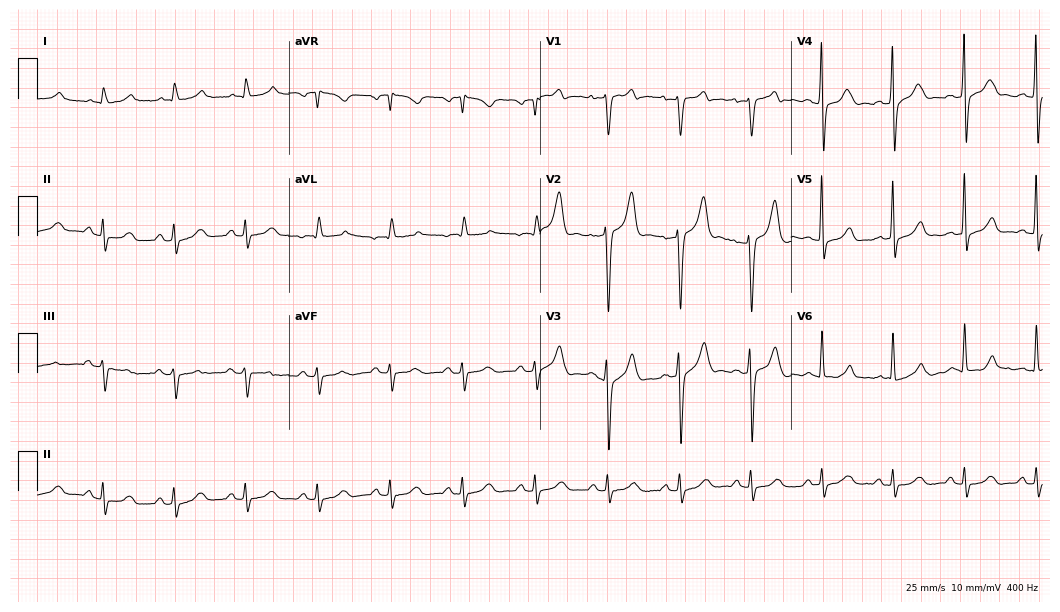
Standard 12-lead ECG recorded from a male, 51 years old (10.2-second recording at 400 Hz). Read as a normal ECG.